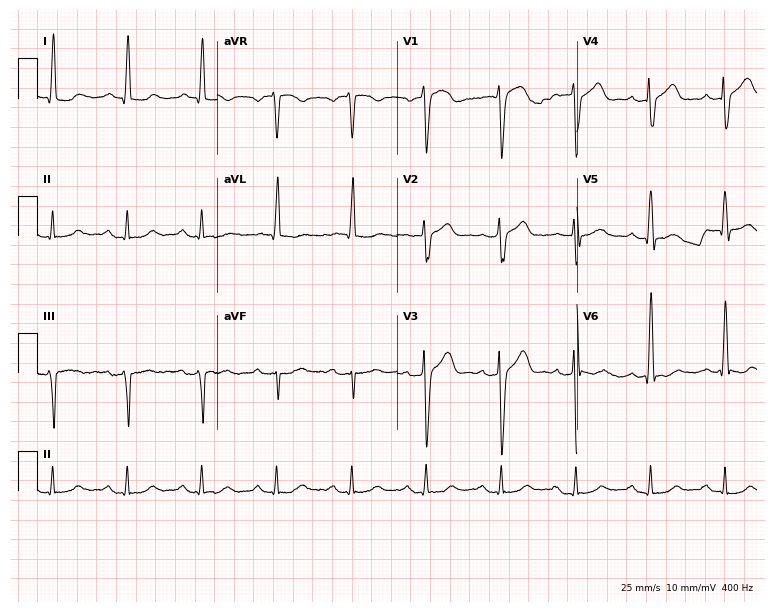
12-lead ECG from a man, 80 years old (7.3-second recording at 400 Hz). Recorded interpretation: within normal limits.